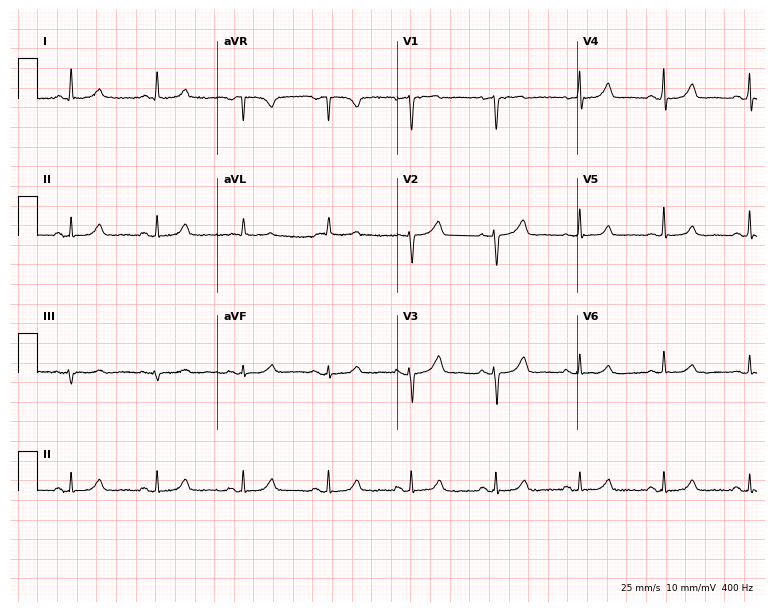
Electrocardiogram, a female, 64 years old. Overall reading on record: normal ECG.